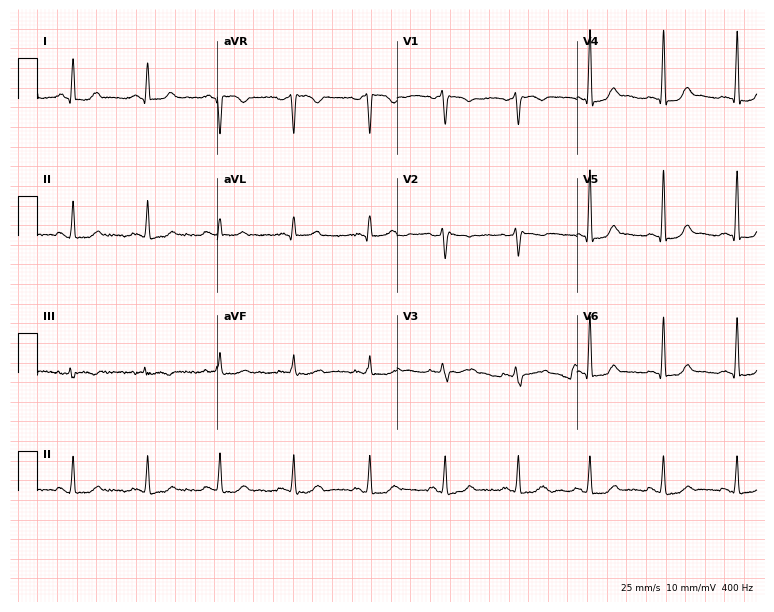
Resting 12-lead electrocardiogram. Patient: a woman, 36 years old. Read as a normal ECG.